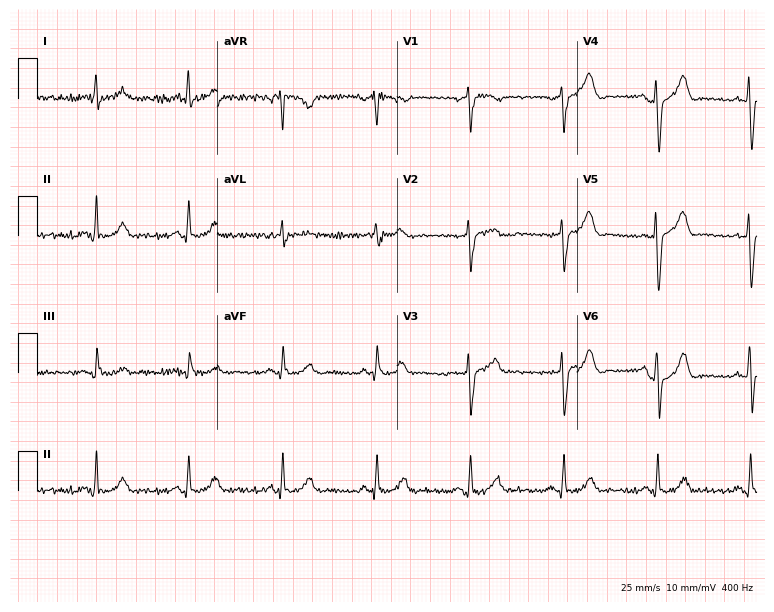
12-lead ECG from a 69-year-old male. Screened for six findings — first-degree AV block, right bundle branch block, left bundle branch block, sinus bradycardia, atrial fibrillation, sinus tachycardia — none is recorded.